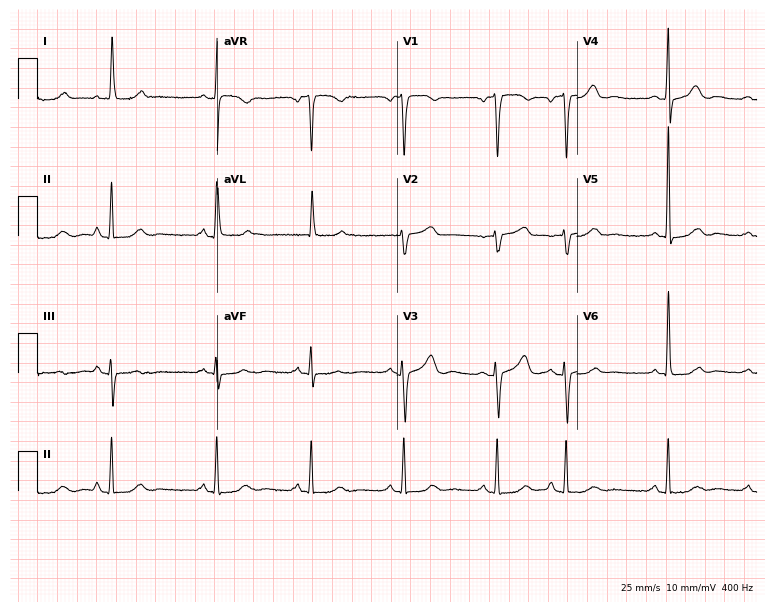
ECG (7.3-second recording at 400 Hz) — a female, 74 years old. Labelled as a normal ECG.